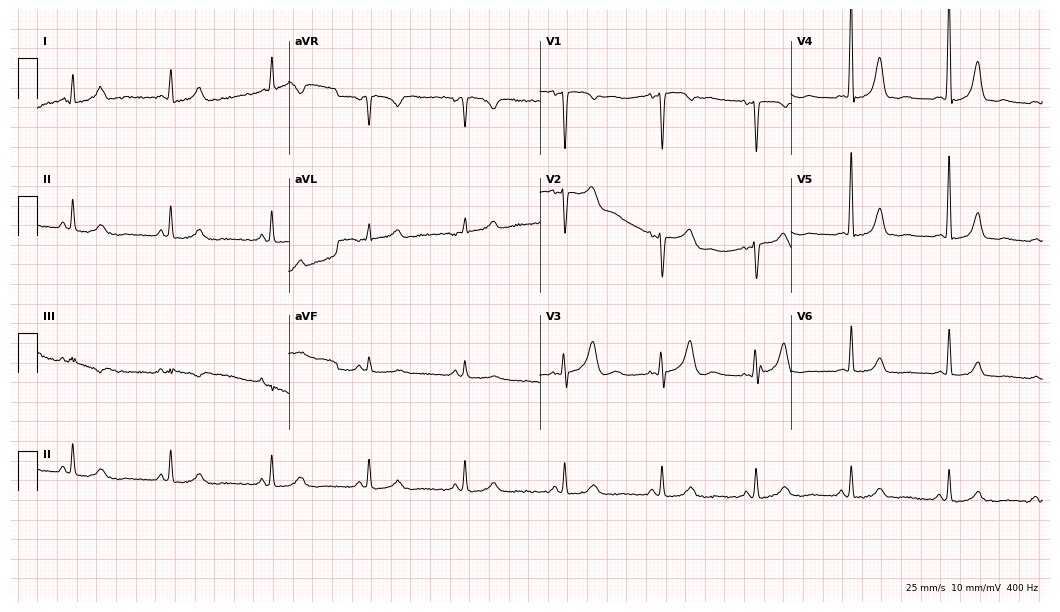
Standard 12-lead ECG recorded from a woman, 38 years old (10.2-second recording at 400 Hz). Read as a normal ECG.